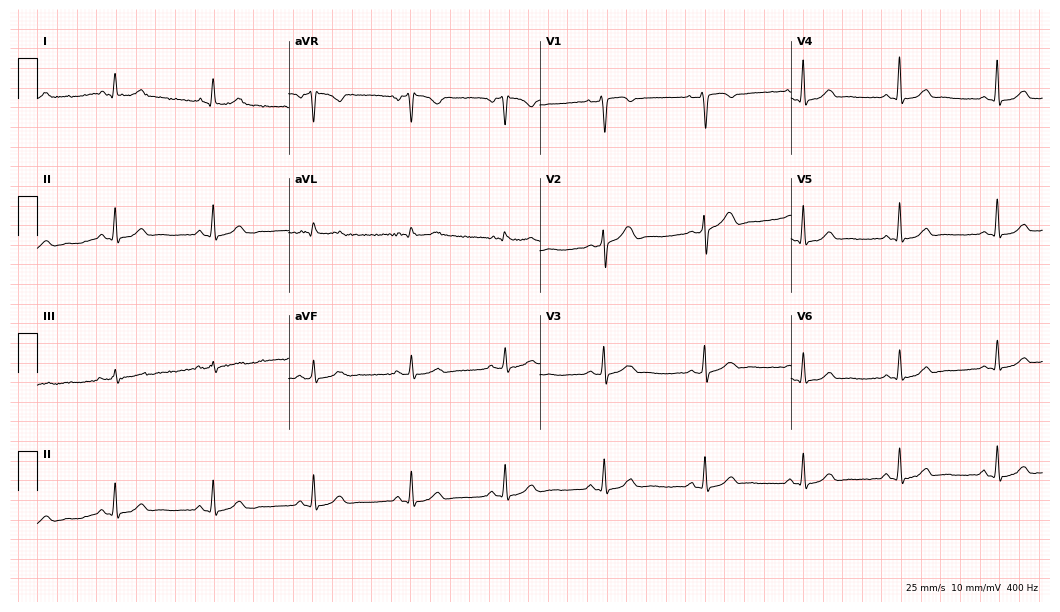
Resting 12-lead electrocardiogram. Patient: a 37-year-old female. None of these six findings is recorded: first-degree AV block, right bundle branch block, left bundle branch block, sinus bradycardia, atrial fibrillation, sinus tachycardia.